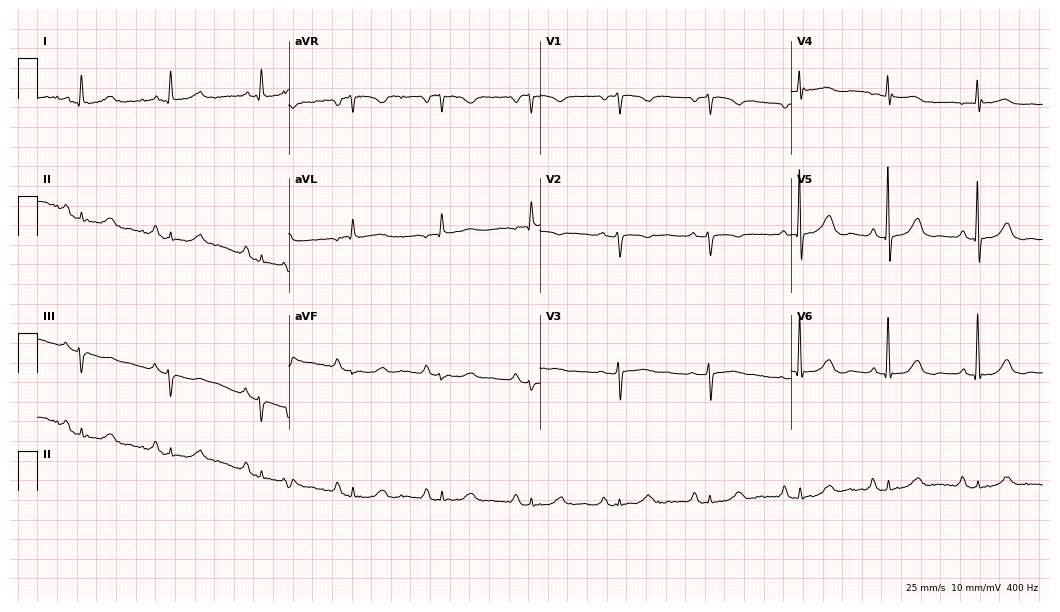
12-lead ECG from a woman, 70 years old. Screened for six findings — first-degree AV block, right bundle branch block, left bundle branch block, sinus bradycardia, atrial fibrillation, sinus tachycardia — none is recorded.